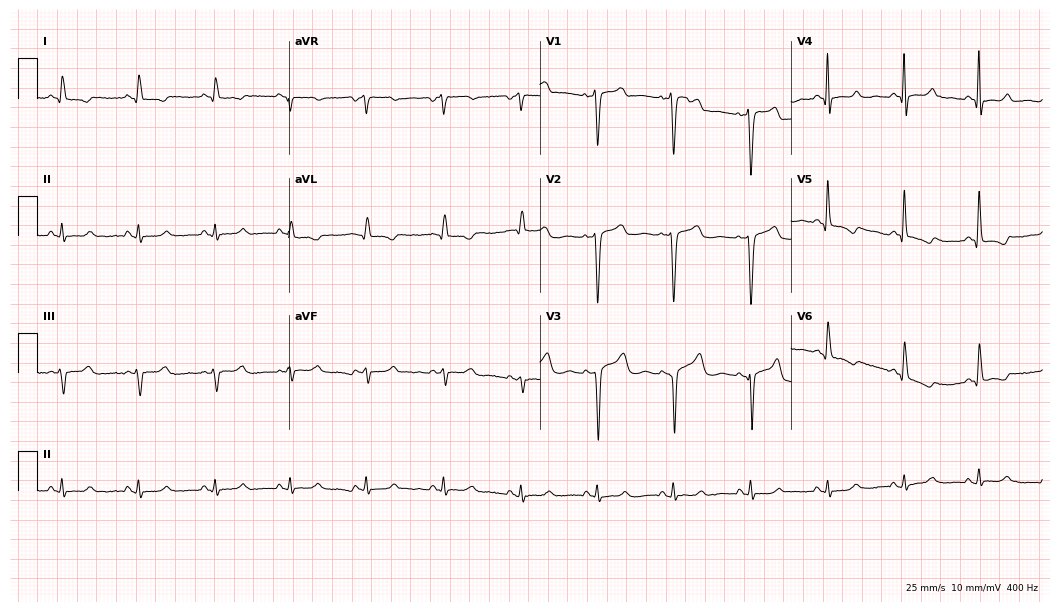
12-lead ECG from a 53-year-old woman. Screened for six findings — first-degree AV block, right bundle branch block, left bundle branch block, sinus bradycardia, atrial fibrillation, sinus tachycardia — none is recorded.